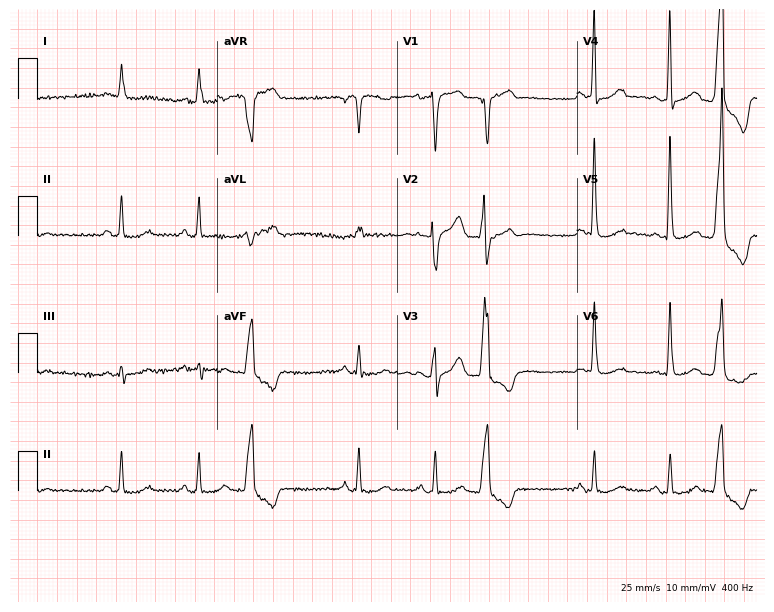
Standard 12-lead ECG recorded from a man, 74 years old. None of these six findings is recorded: first-degree AV block, right bundle branch block, left bundle branch block, sinus bradycardia, atrial fibrillation, sinus tachycardia. Findings outside these six are not listed.